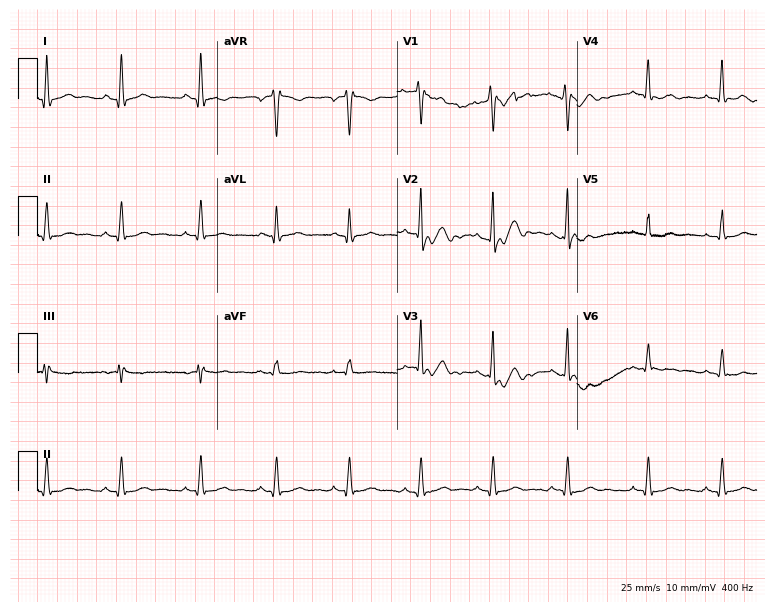
ECG (7.3-second recording at 400 Hz) — a 33-year-old man. Labelled as a normal ECG.